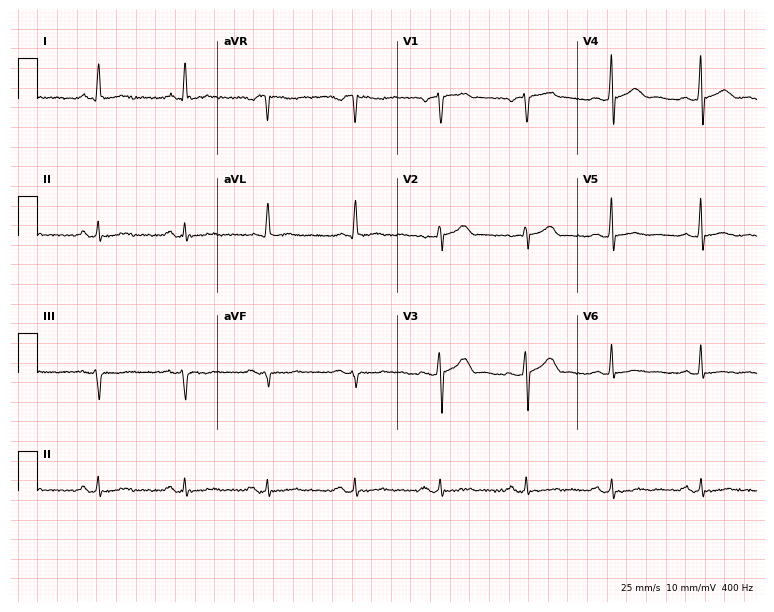
Resting 12-lead electrocardiogram. Patient: a 63-year-old male. Read as a normal ECG.